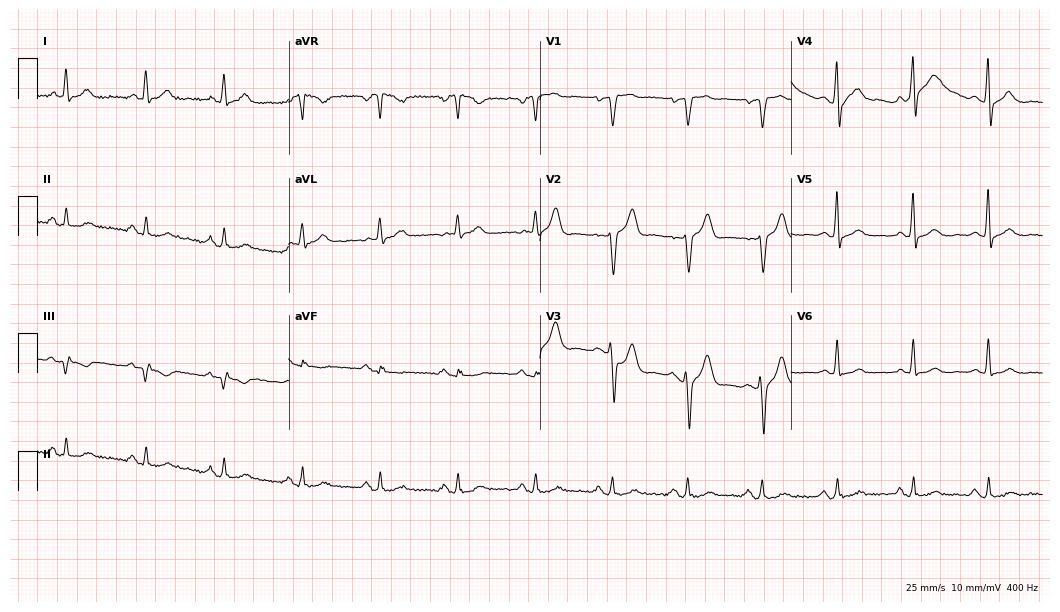
12-lead ECG (10.2-second recording at 400 Hz) from a 46-year-old man. Screened for six findings — first-degree AV block, right bundle branch block (RBBB), left bundle branch block (LBBB), sinus bradycardia, atrial fibrillation (AF), sinus tachycardia — none is recorded. Only these six findings were labelled.